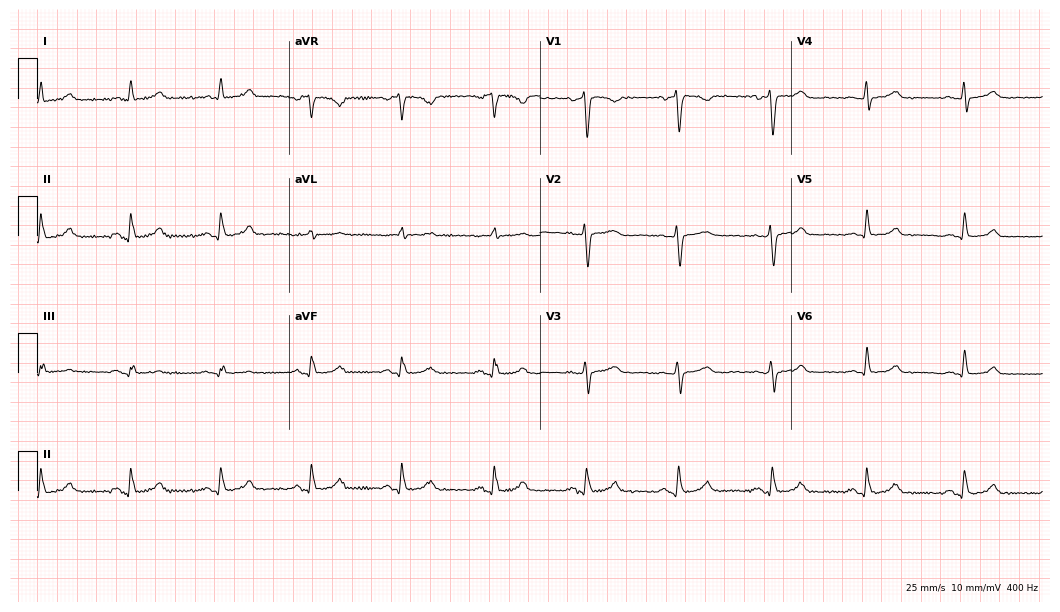
Resting 12-lead electrocardiogram (10.2-second recording at 400 Hz). Patient: a 55-year-old female. Read as a normal ECG.